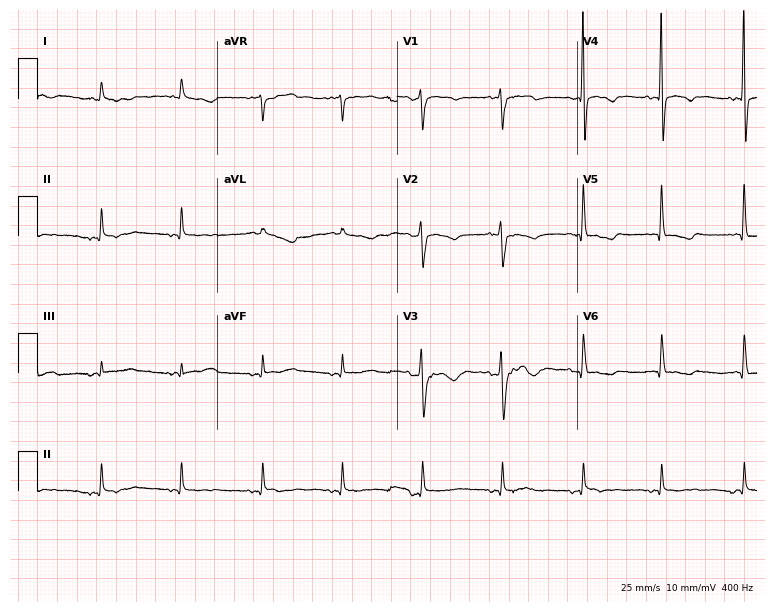
ECG (7.3-second recording at 400 Hz) — a 74-year-old male patient. Screened for six findings — first-degree AV block, right bundle branch block, left bundle branch block, sinus bradycardia, atrial fibrillation, sinus tachycardia — none is recorded. Only these six findings were labelled.